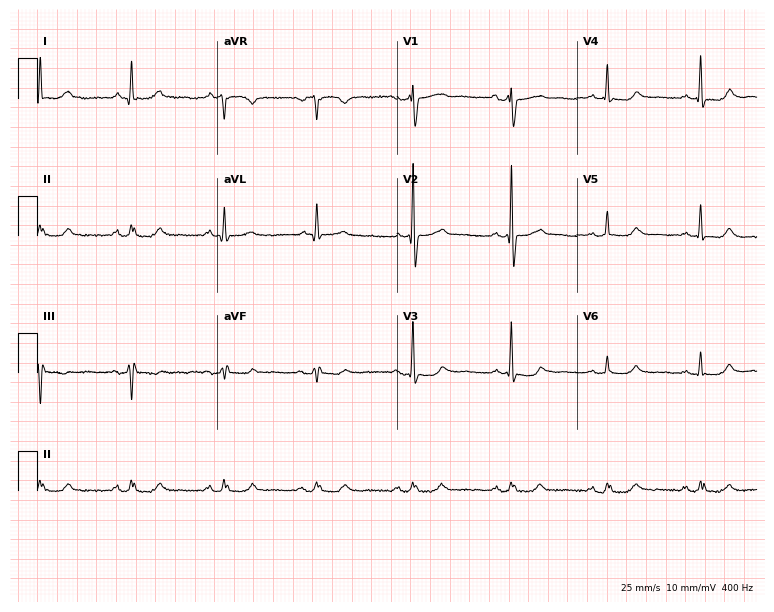
Resting 12-lead electrocardiogram. Patient: a 59-year-old man. Read as a normal ECG.